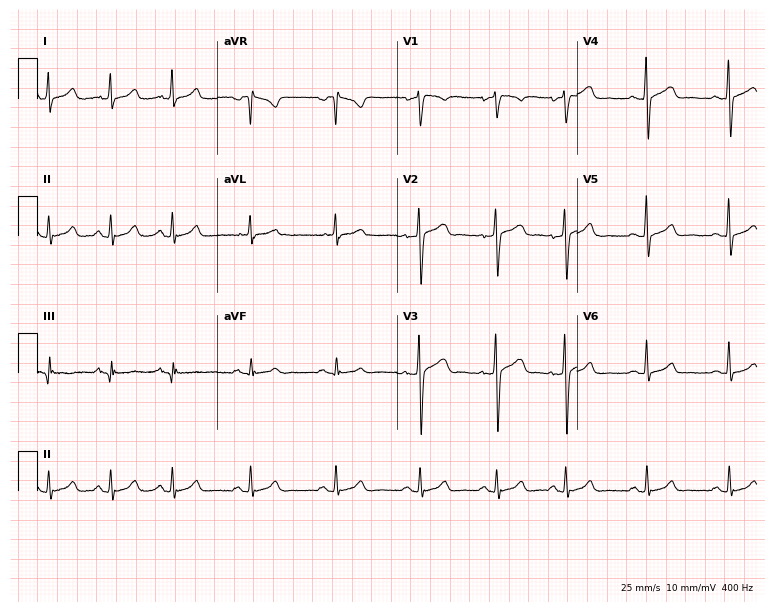
12-lead ECG from a 26-year-old man. Labelled as a normal ECG.